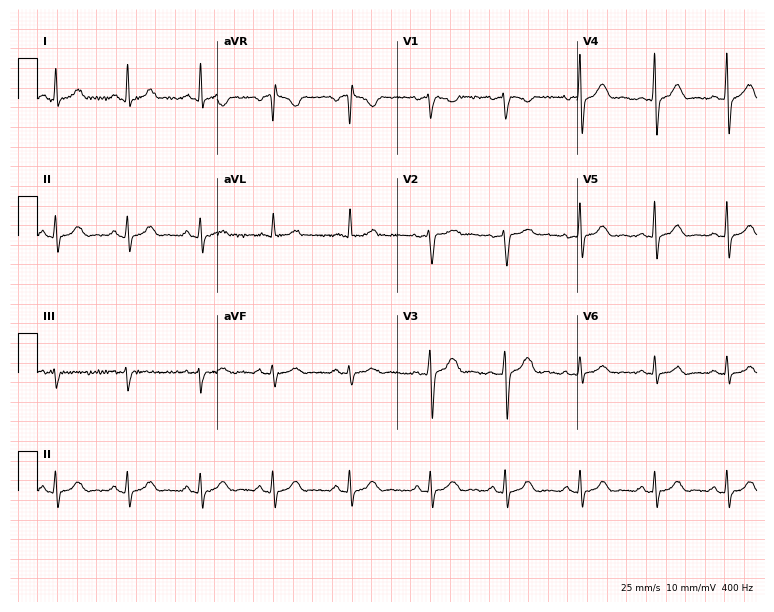
12-lead ECG from a 31-year-old female. No first-degree AV block, right bundle branch block, left bundle branch block, sinus bradycardia, atrial fibrillation or sinus tachycardia recorded for this tracing. Other findings, if any, are not listed.